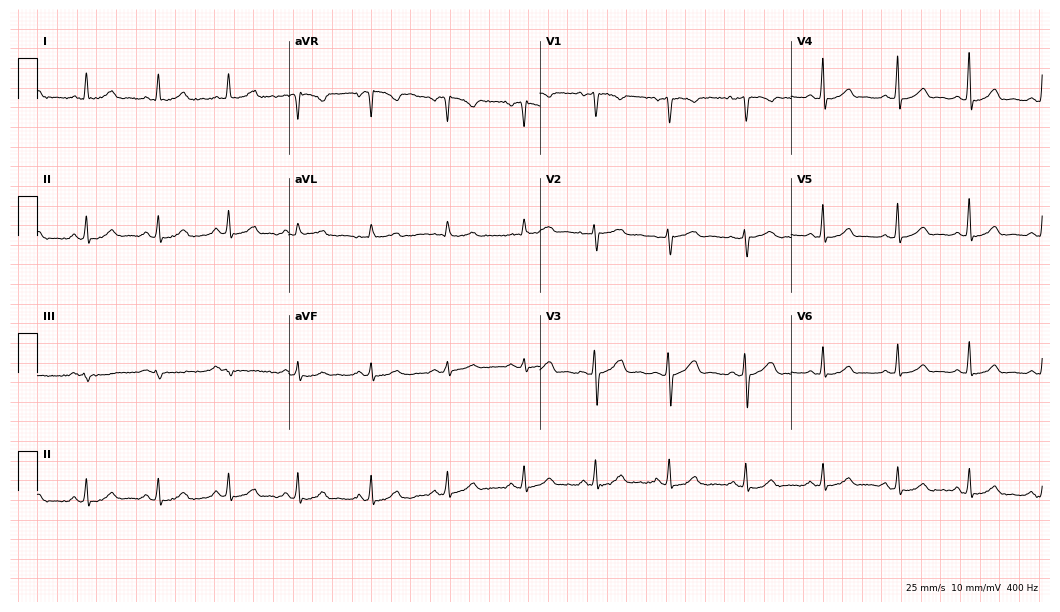
Resting 12-lead electrocardiogram. Patient: a female, 34 years old. Read as a normal ECG.